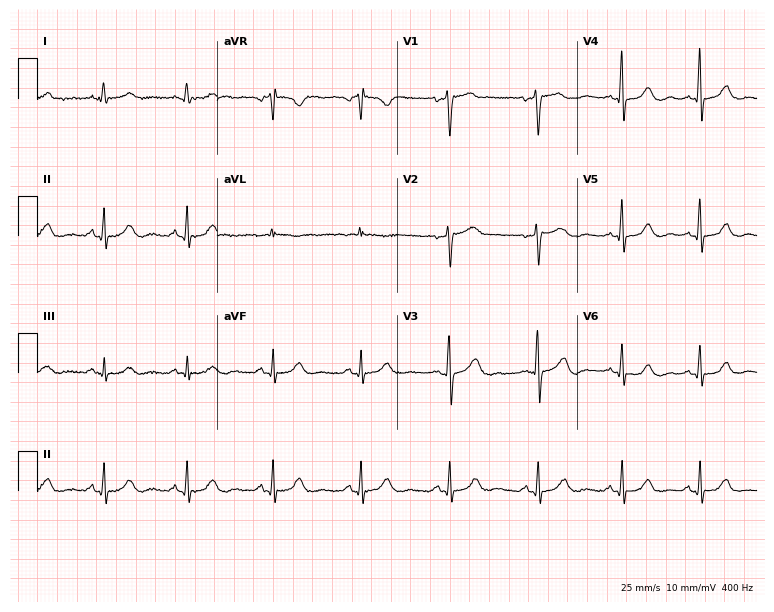
12-lead ECG from a 68-year-old male. Recorded interpretation: within normal limits.